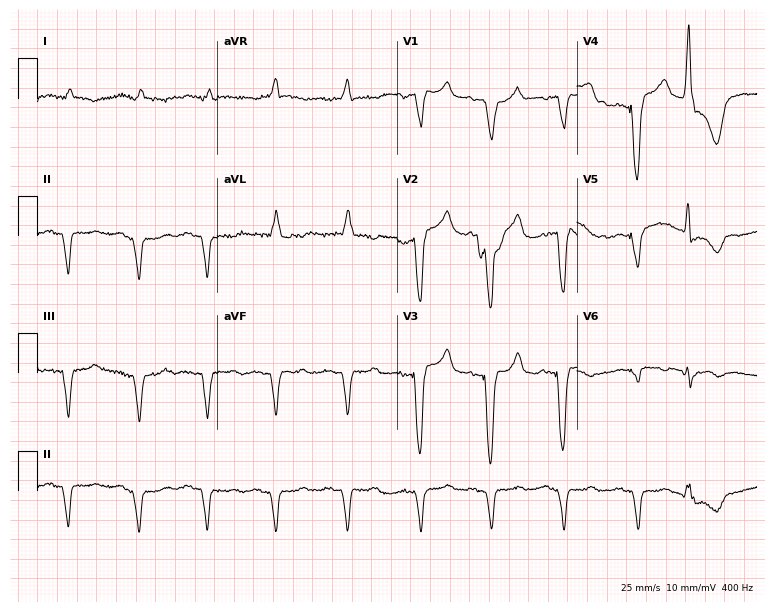
Standard 12-lead ECG recorded from a 69-year-old male patient. None of these six findings is recorded: first-degree AV block, right bundle branch block, left bundle branch block, sinus bradycardia, atrial fibrillation, sinus tachycardia.